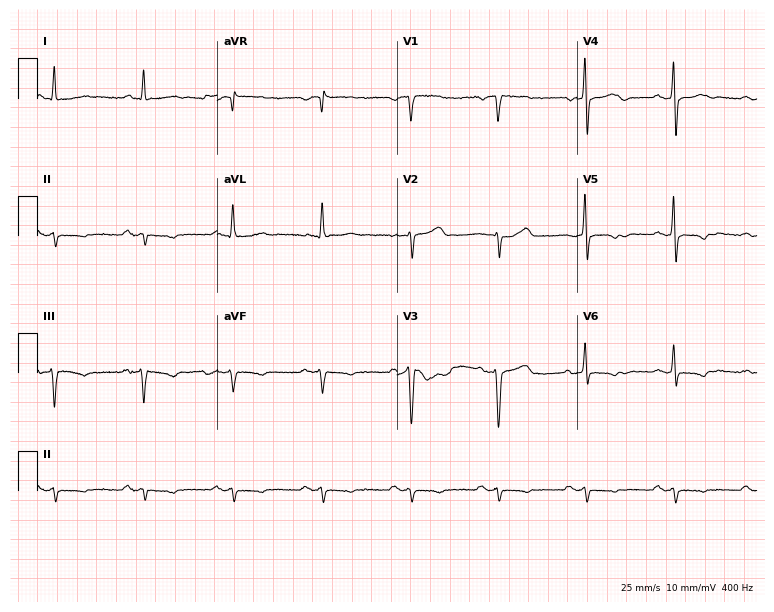
12-lead ECG (7.3-second recording at 400 Hz) from a man, 64 years old. Screened for six findings — first-degree AV block, right bundle branch block (RBBB), left bundle branch block (LBBB), sinus bradycardia, atrial fibrillation (AF), sinus tachycardia — none is recorded. Only these six findings were labelled.